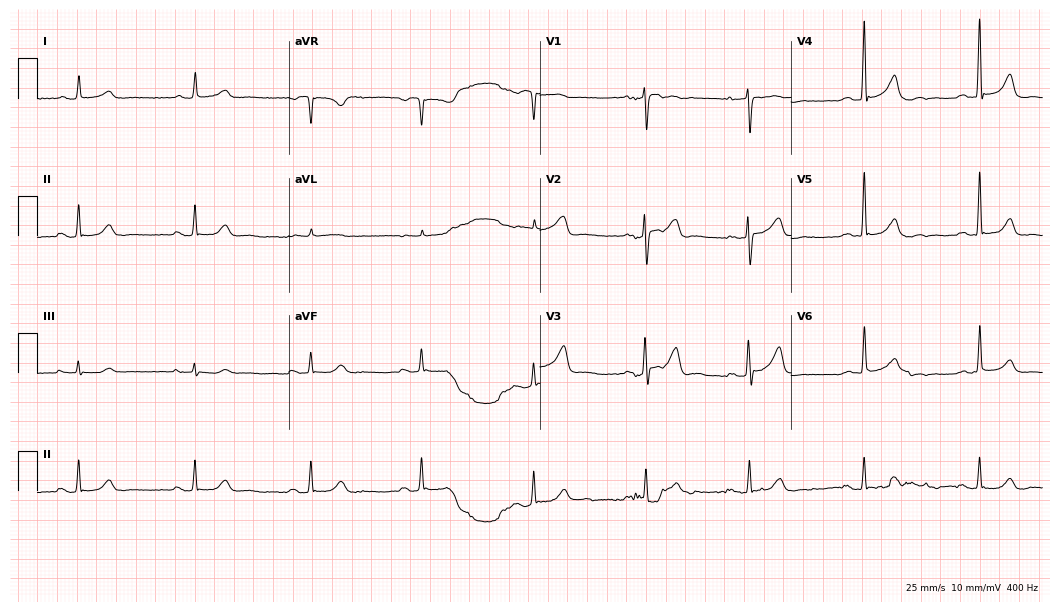
12-lead ECG from a 78-year-old woman. Labelled as a normal ECG.